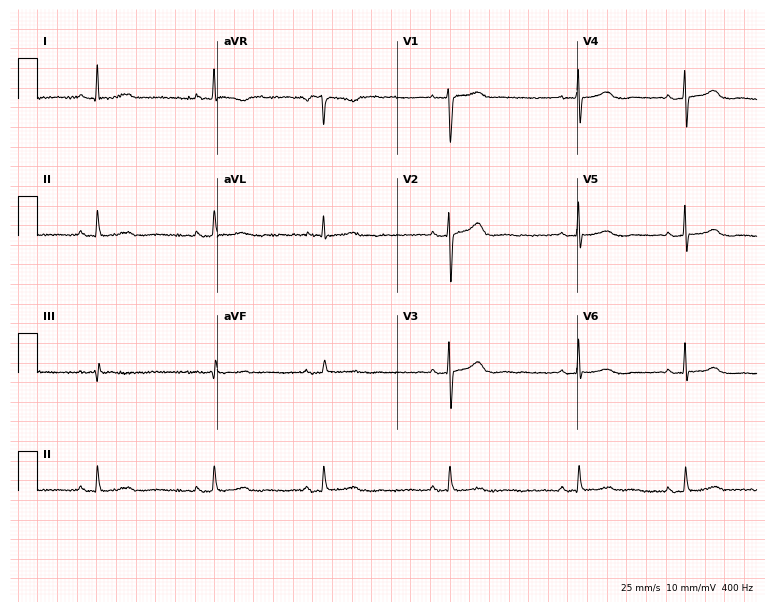
12-lead ECG from a 56-year-old female patient (7.3-second recording at 400 Hz). Recorded interpretation: within normal limits.